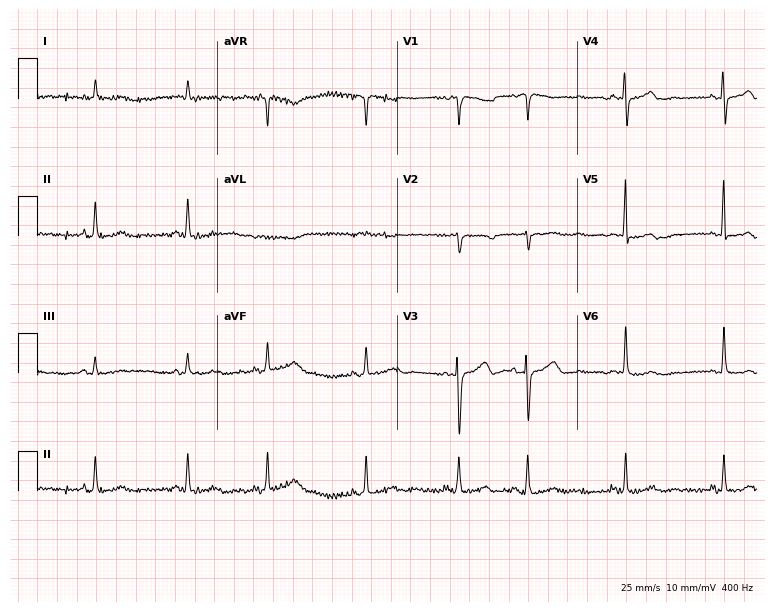
Resting 12-lead electrocardiogram (7.3-second recording at 400 Hz). Patient: an 82-year-old female. None of these six findings is recorded: first-degree AV block, right bundle branch block (RBBB), left bundle branch block (LBBB), sinus bradycardia, atrial fibrillation (AF), sinus tachycardia.